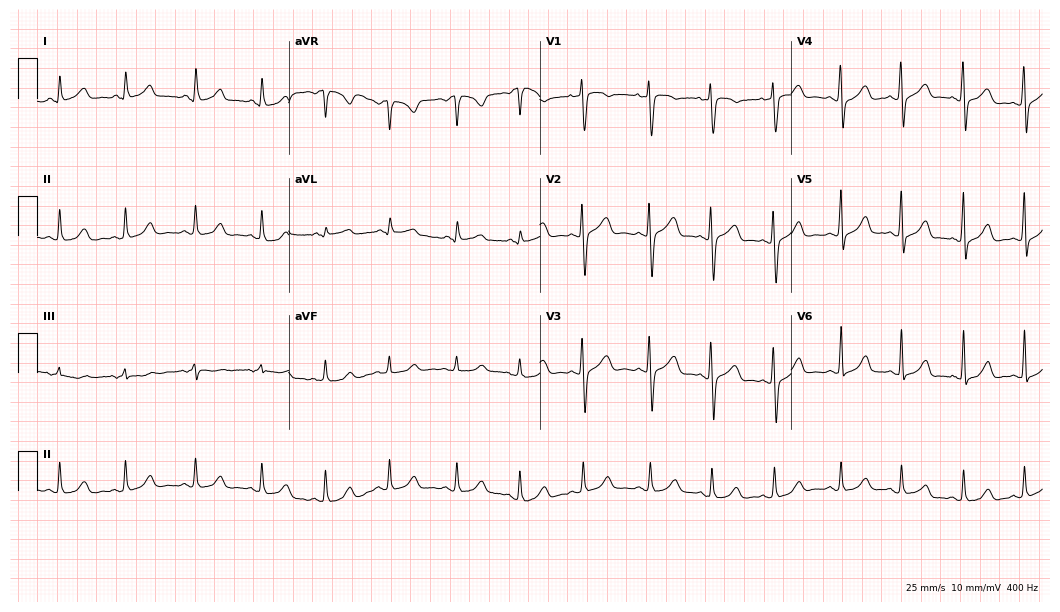
Resting 12-lead electrocardiogram. Patient: a 27-year-old female. Read as a normal ECG.